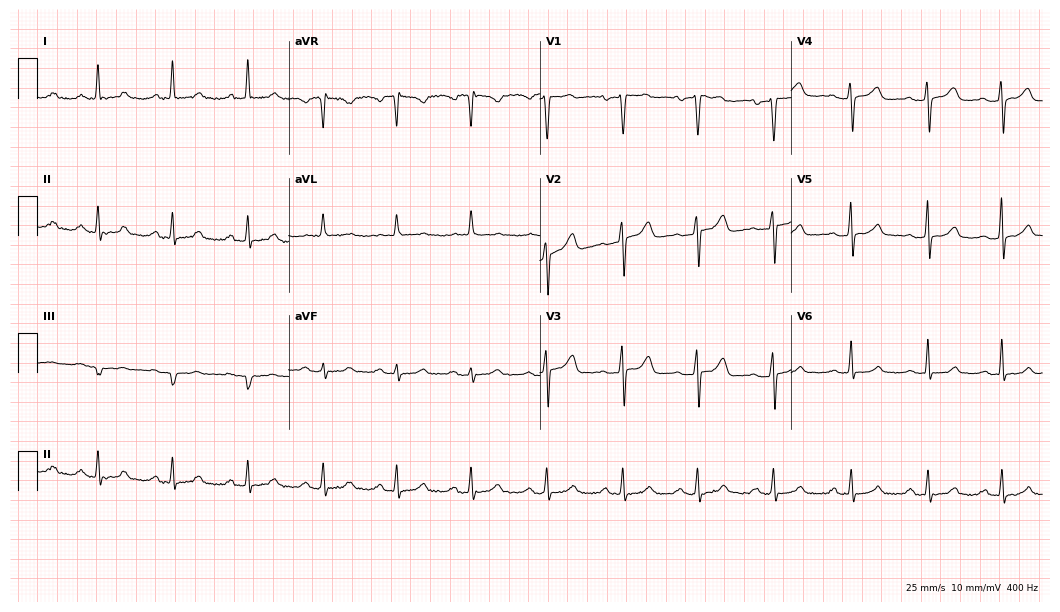
Electrocardiogram (10.2-second recording at 400 Hz), a 44-year-old female. Overall reading on record: normal ECG.